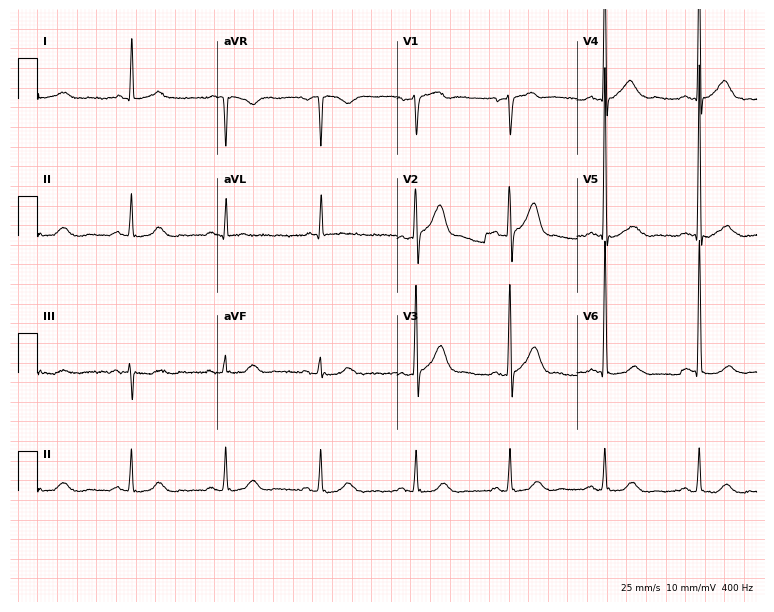
12-lead ECG from a man, 61 years old (7.3-second recording at 400 Hz). Recorded interpretation: within normal limits.